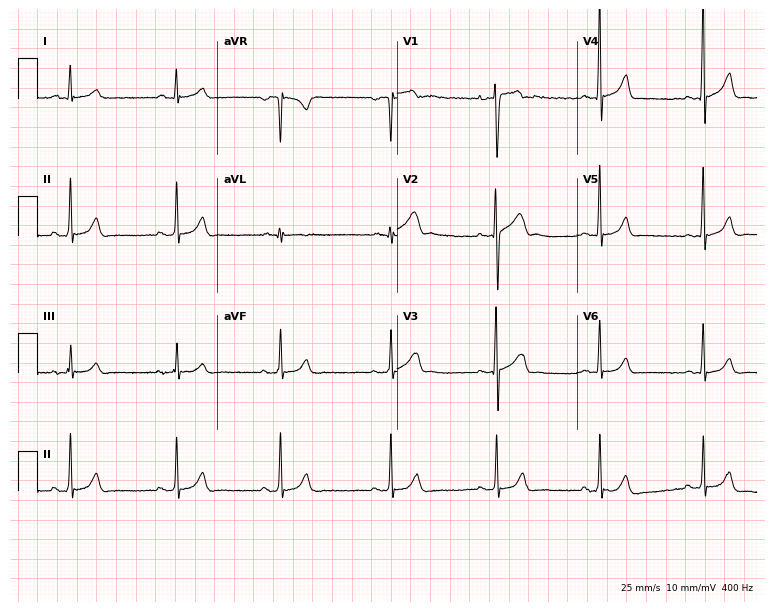
Electrocardiogram (7.3-second recording at 400 Hz), a male patient, 19 years old. Overall reading on record: normal ECG.